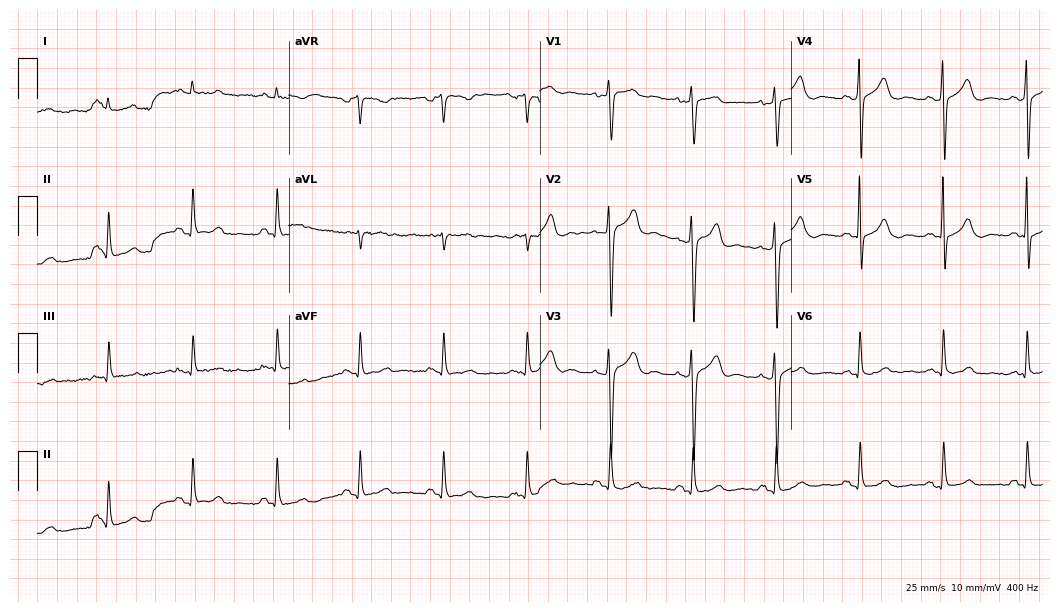
12-lead ECG from a 60-year-old man. Recorded interpretation: within normal limits.